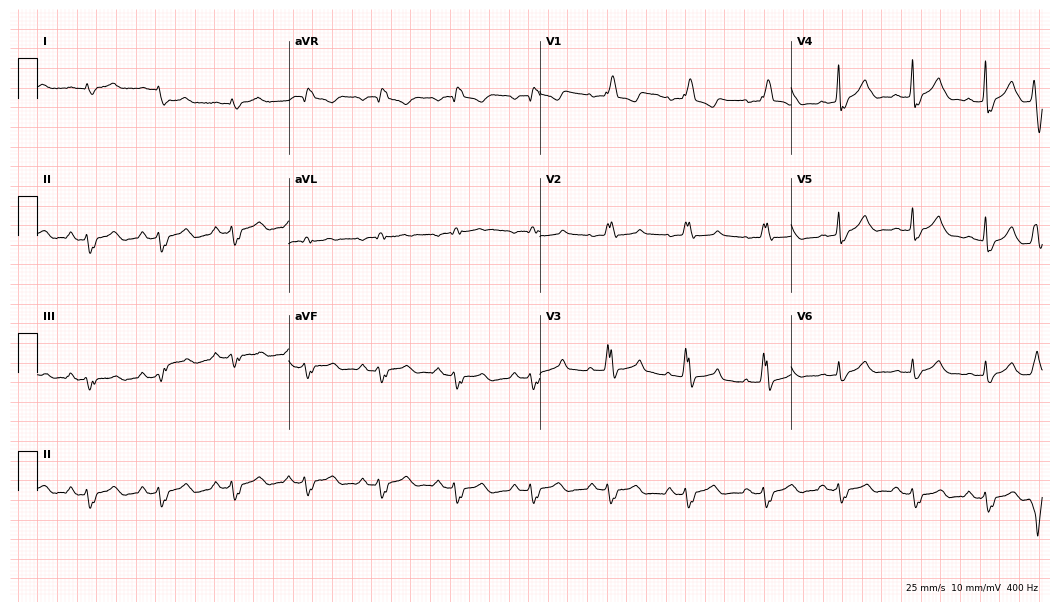
Resting 12-lead electrocardiogram. Patient: a male, 62 years old. None of these six findings is recorded: first-degree AV block, right bundle branch block, left bundle branch block, sinus bradycardia, atrial fibrillation, sinus tachycardia. Only these six findings were labelled.